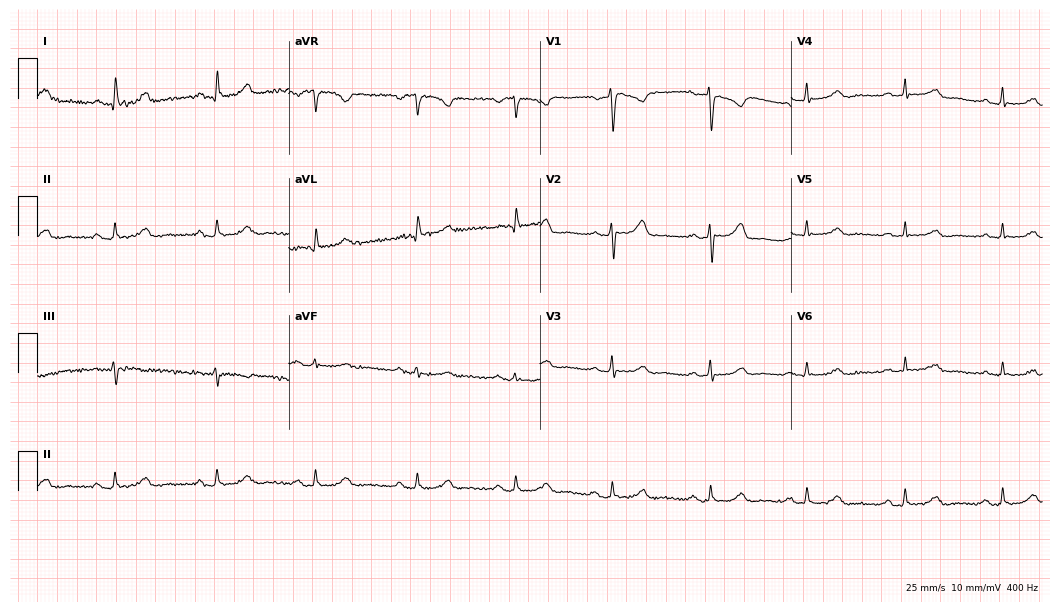
Standard 12-lead ECG recorded from a 74-year-old female patient. Read as a normal ECG.